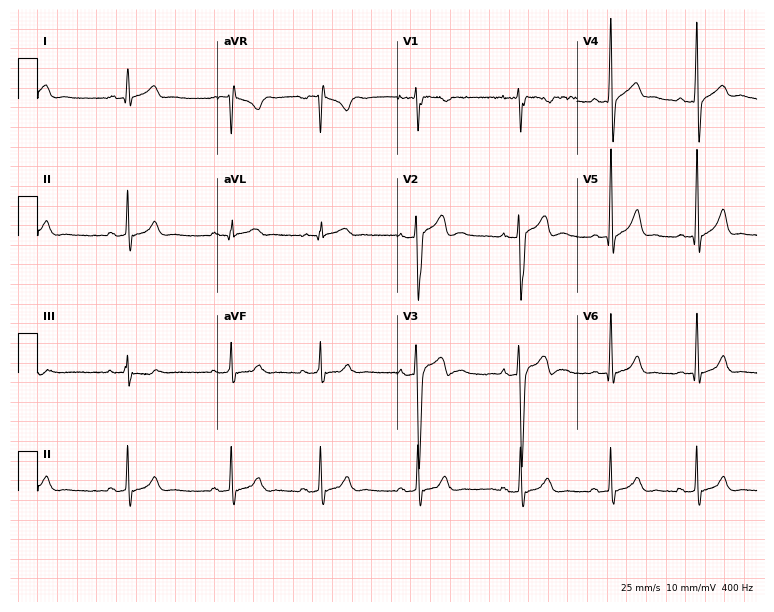
Standard 12-lead ECG recorded from a 17-year-old man. None of these six findings is recorded: first-degree AV block, right bundle branch block, left bundle branch block, sinus bradycardia, atrial fibrillation, sinus tachycardia.